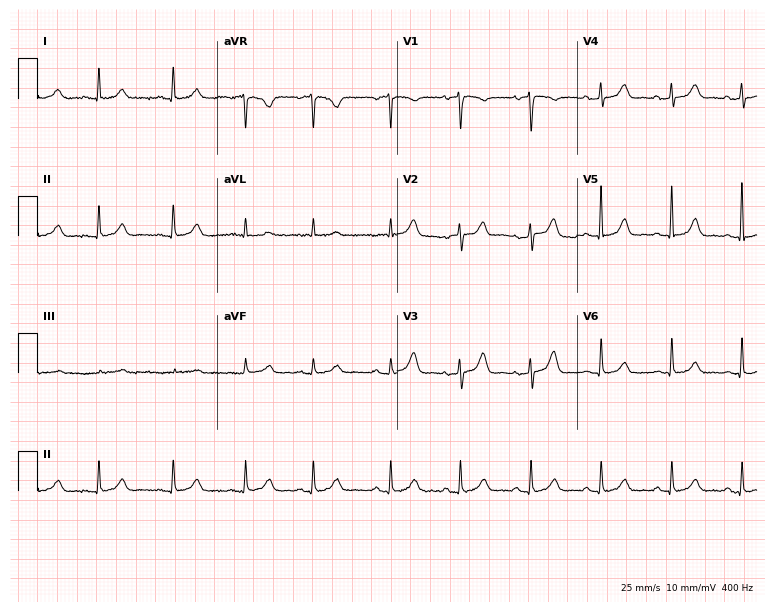
Electrocardiogram, an 80-year-old female patient. Overall reading on record: normal ECG.